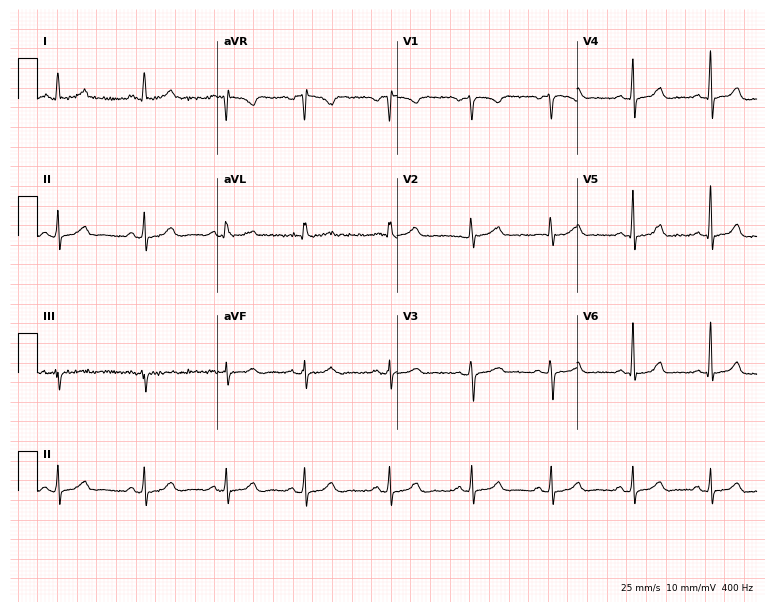
Electrocardiogram (7.3-second recording at 400 Hz), a 44-year-old woman. Overall reading on record: normal ECG.